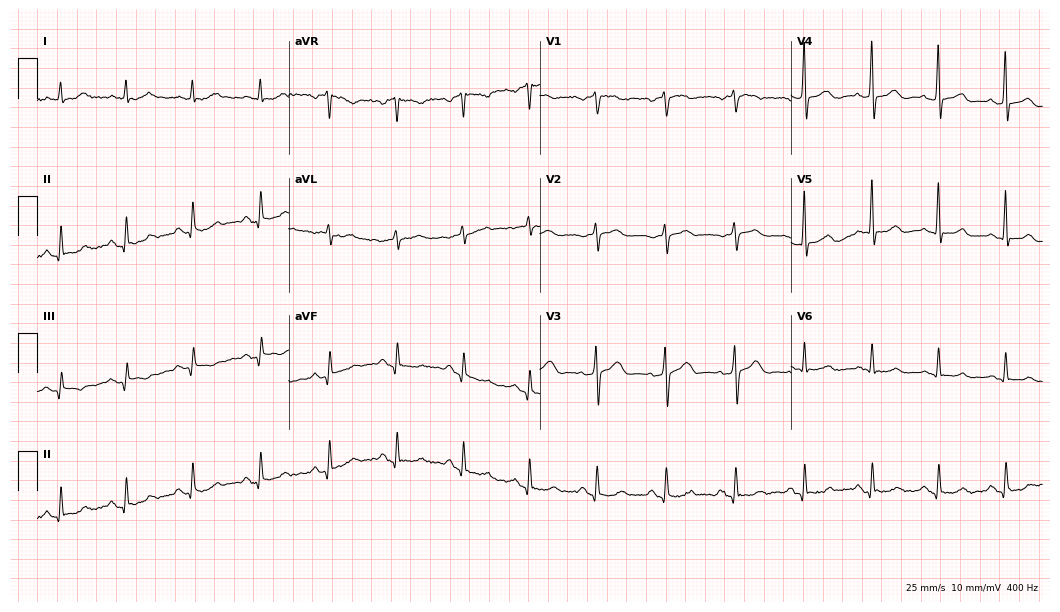
Standard 12-lead ECG recorded from a 64-year-old man. Read as a normal ECG.